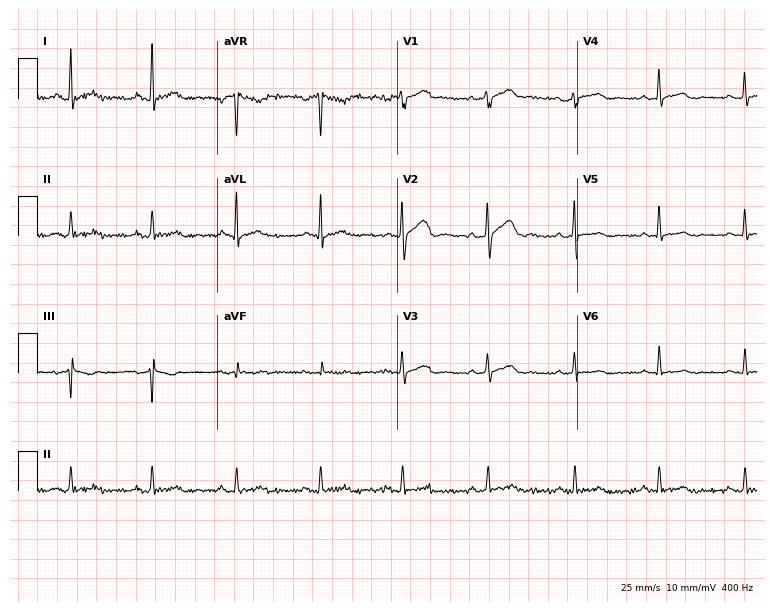
ECG — a male, 55 years old. Screened for six findings — first-degree AV block, right bundle branch block (RBBB), left bundle branch block (LBBB), sinus bradycardia, atrial fibrillation (AF), sinus tachycardia — none is recorded.